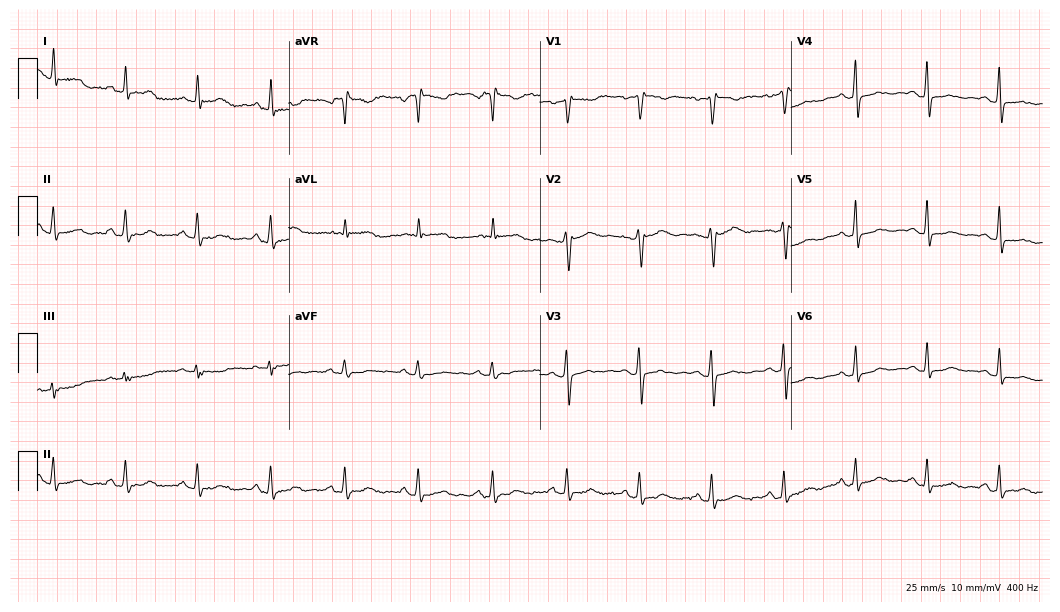
Electrocardiogram, a female patient, 49 years old. Of the six screened findings (first-degree AV block, right bundle branch block (RBBB), left bundle branch block (LBBB), sinus bradycardia, atrial fibrillation (AF), sinus tachycardia), none is recorded. Only these six findings were labelled.